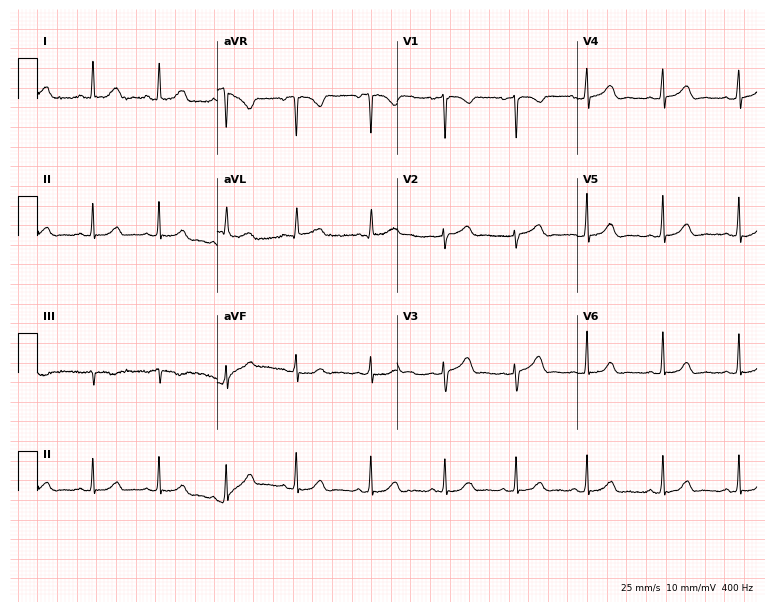
12-lead ECG from a female patient, 26 years old (7.3-second recording at 400 Hz). Recorded interpretation: within normal limits.